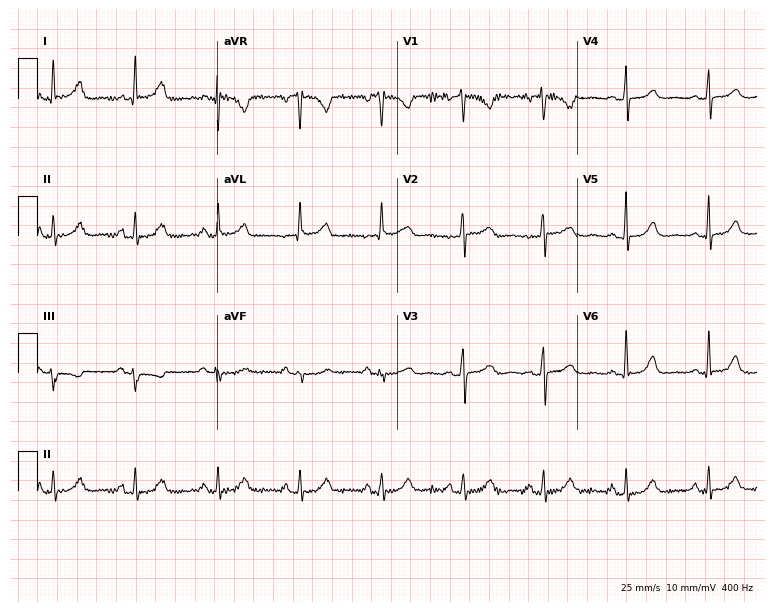
ECG — a 64-year-old female. Labelled as a normal ECG.